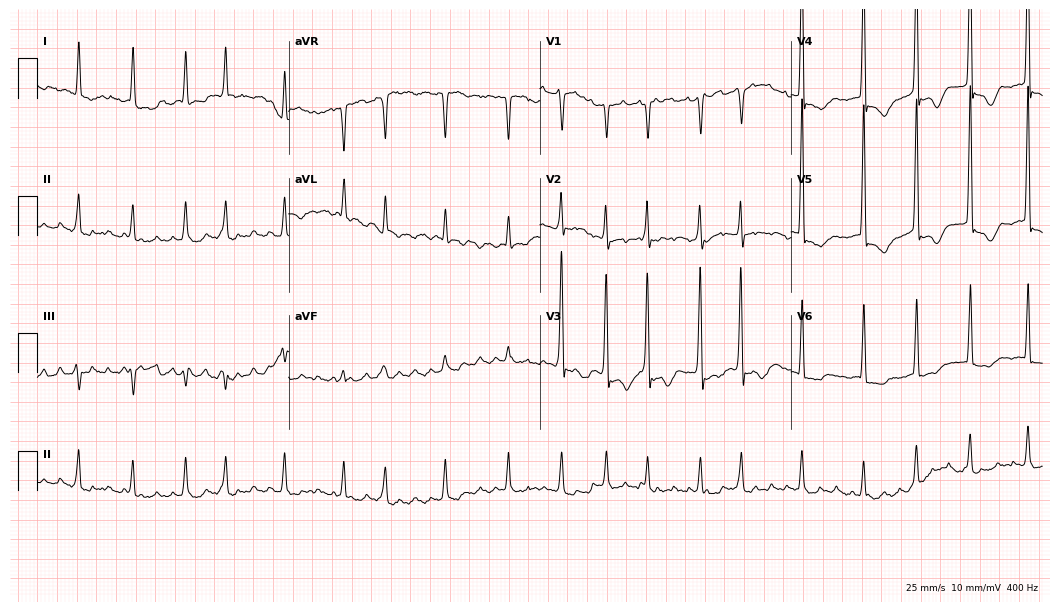
Standard 12-lead ECG recorded from a 79-year-old man (10.2-second recording at 400 Hz). None of these six findings is recorded: first-degree AV block, right bundle branch block (RBBB), left bundle branch block (LBBB), sinus bradycardia, atrial fibrillation (AF), sinus tachycardia. Findings outside these six are not listed.